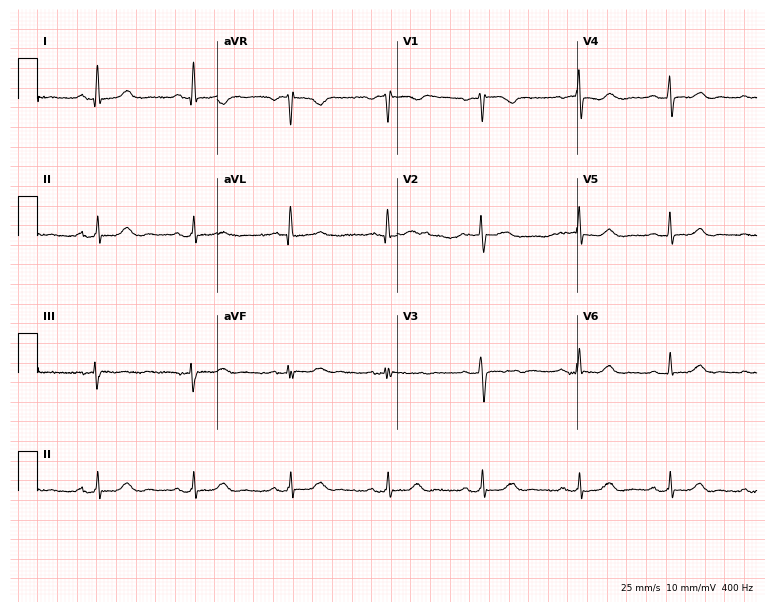
Standard 12-lead ECG recorded from a woman, 61 years old (7.3-second recording at 400 Hz). Read as a normal ECG.